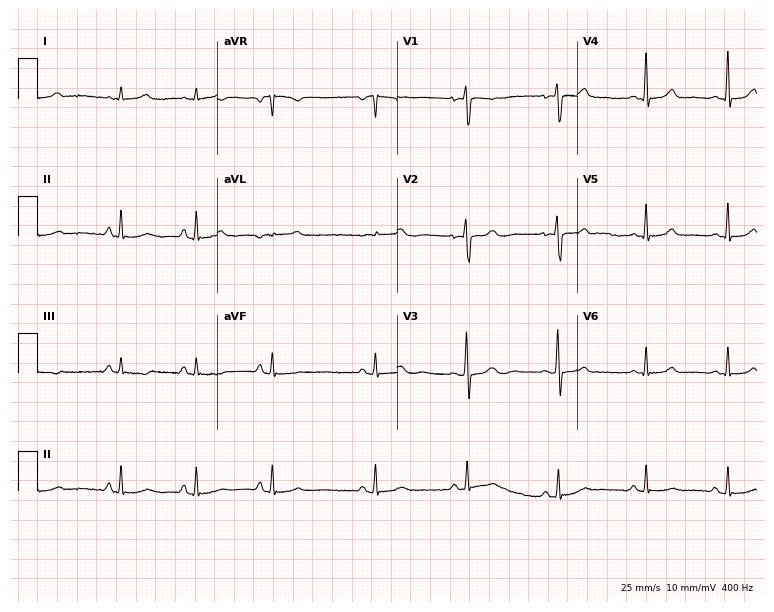
ECG — a woman, 26 years old. Screened for six findings — first-degree AV block, right bundle branch block (RBBB), left bundle branch block (LBBB), sinus bradycardia, atrial fibrillation (AF), sinus tachycardia — none is recorded.